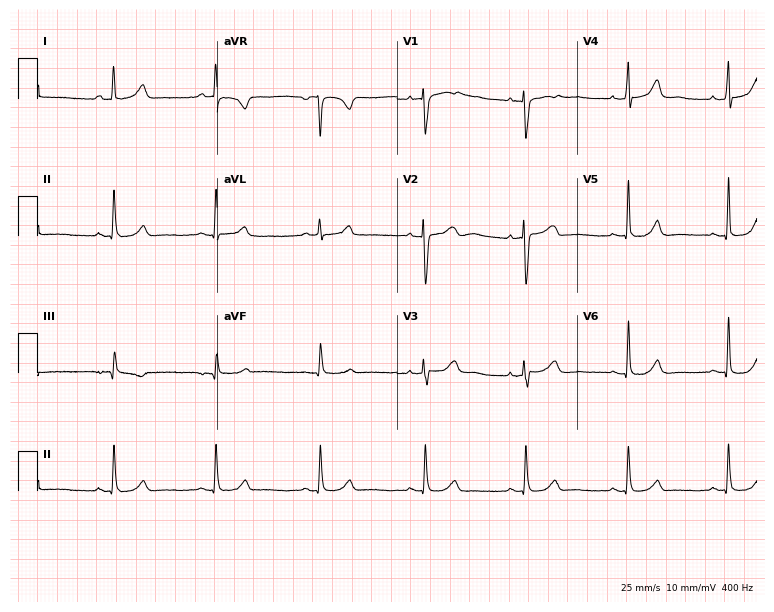
Electrocardiogram, a female, 48 years old. Overall reading on record: normal ECG.